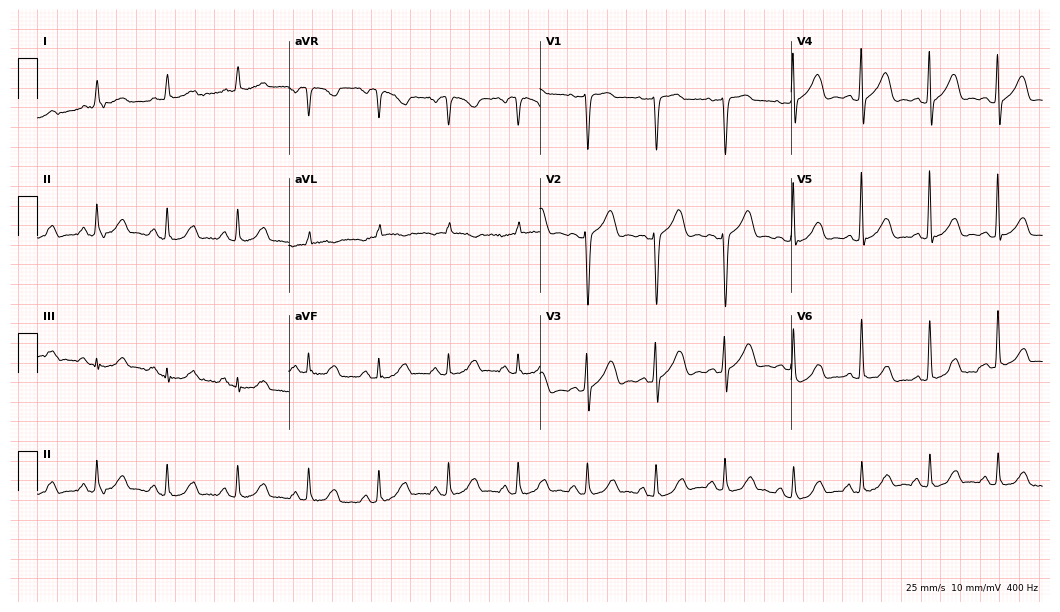
Electrocardiogram, an 84-year-old female. Overall reading on record: normal ECG.